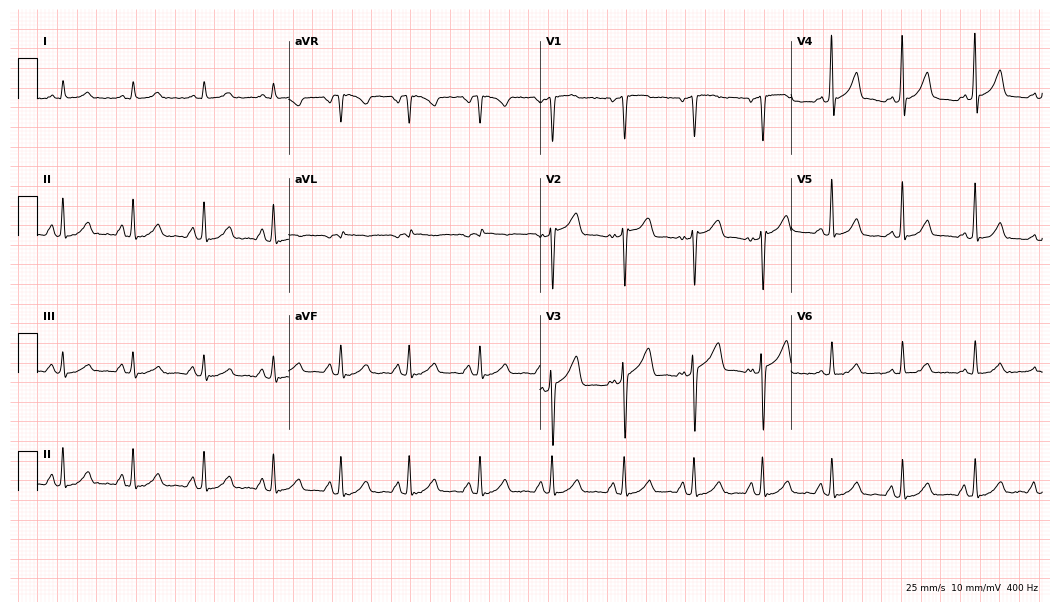
Electrocardiogram (10.2-second recording at 400 Hz), a male, 56 years old. Overall reading on record: normal ECG.